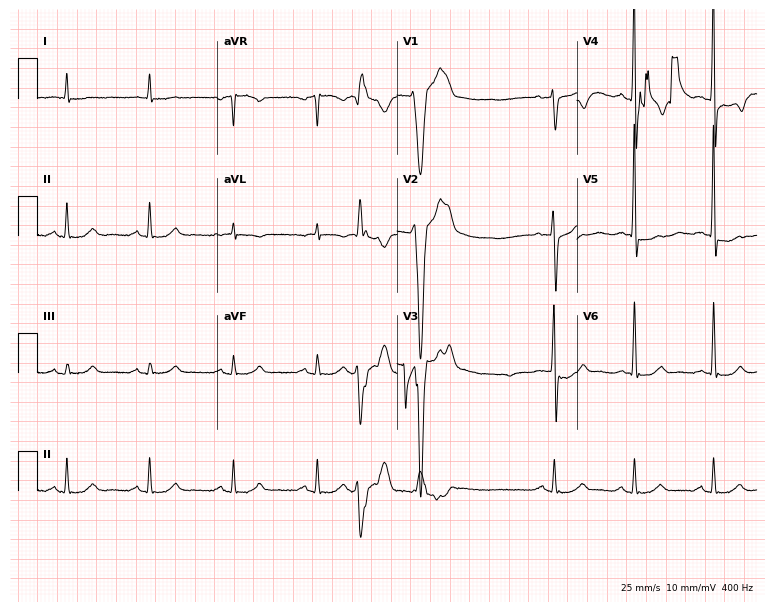
12-lead ECG from a man, 78 years old. No first-degree AV block, right bundle branch block (RBBB), left bundle branch block (LBBB), sinus bradycardia, atrial fibrillation (AF) or sinus tachycardia recorded for this tracing. Findings outside these six are not listed.